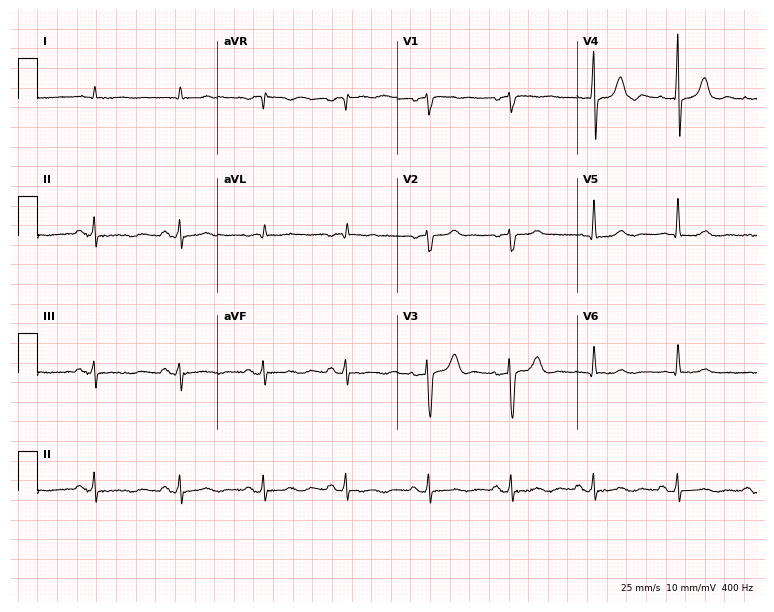
Standard 12-lead ECG recorded from a 75-year-old male. None of these six findings is recorded: first-degree AV block, right bundle branch block, left bundle branch block, sinus bradycardia, atrial fibrillation, sinus tachycardia.